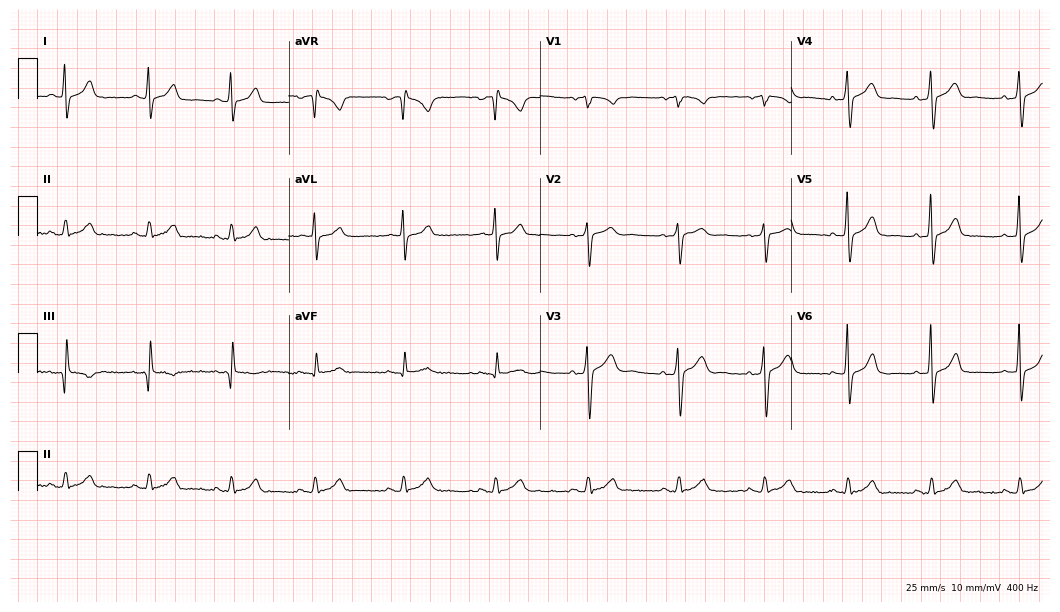
Standard 12-lead ECG recorded from a male, 25 years old. Read as a normal ECG.